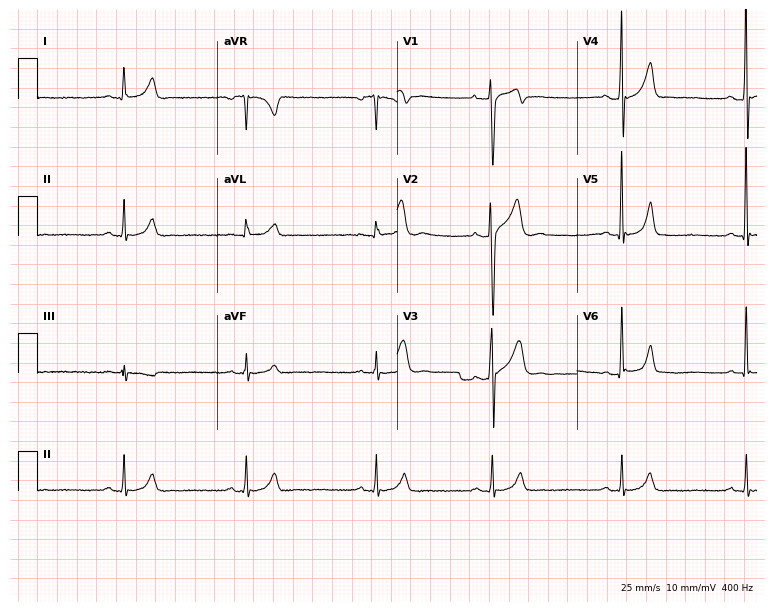
Electrocardiogram (7.3-second recording at 400 Hz), a 23-year-old man. Interpretation includes sinus bradycardia (a sinus rate of 50 beats per minute or less).